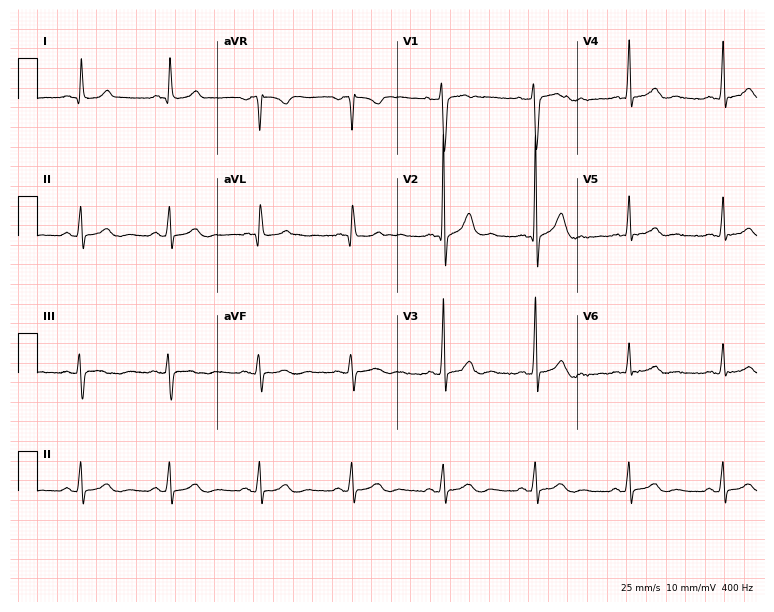
Standard 12-lead ECG recorded from a 42-year-old male (7.3-second recording at 400 Hz). None of these six findings is recorded: first-degree AV block, right bundle branch block (RBBB), left bundle branch block (LBBB), sinus bradycardia, atrial fibrillation (AF), sinus tachycardia. Only these six findings were labelled.